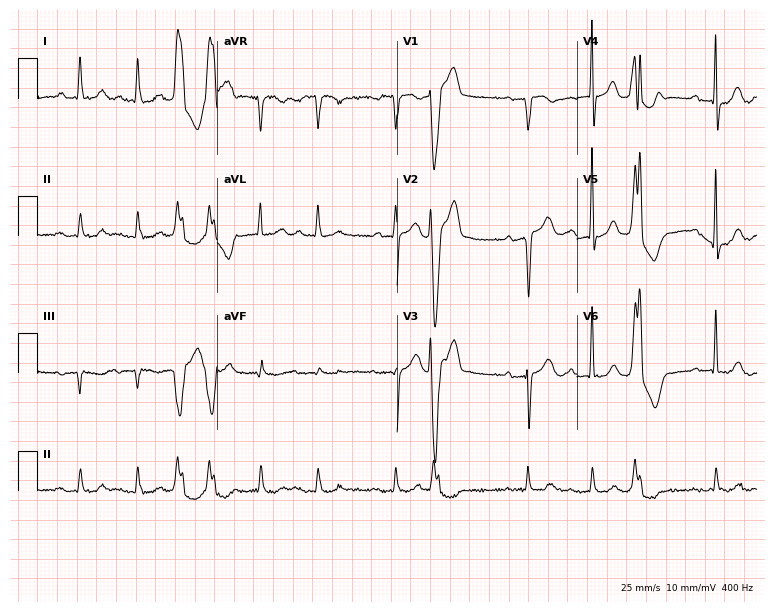
Resting 12-lead electrocardiogram. Patient: an 81-year-old female. The tracing shows atrial fibrillation.